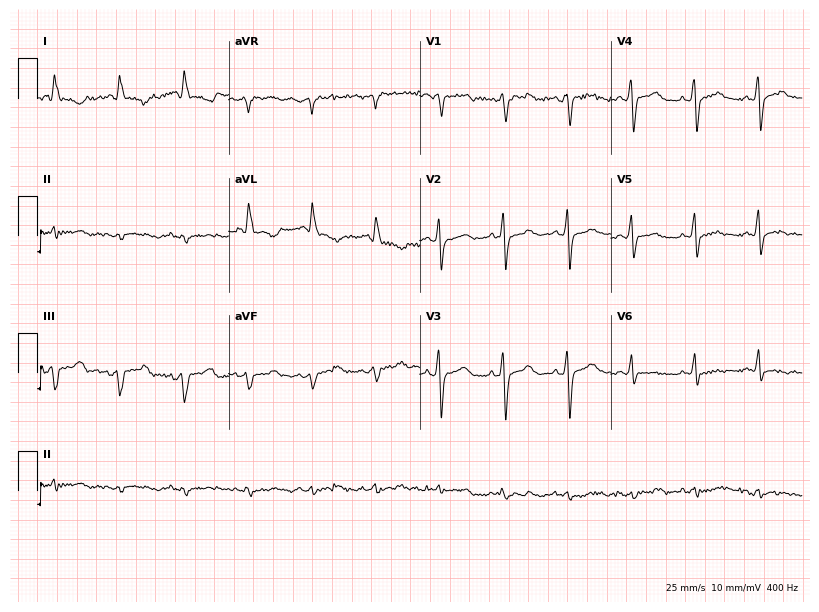
12-lead ECG from a 79-year-old female patient. No first-degree AV block, right bundle branch block, left bundle branch block, sinus bradycardia, atrial fibrillation or sinus tachycardia recorded for this tracing.